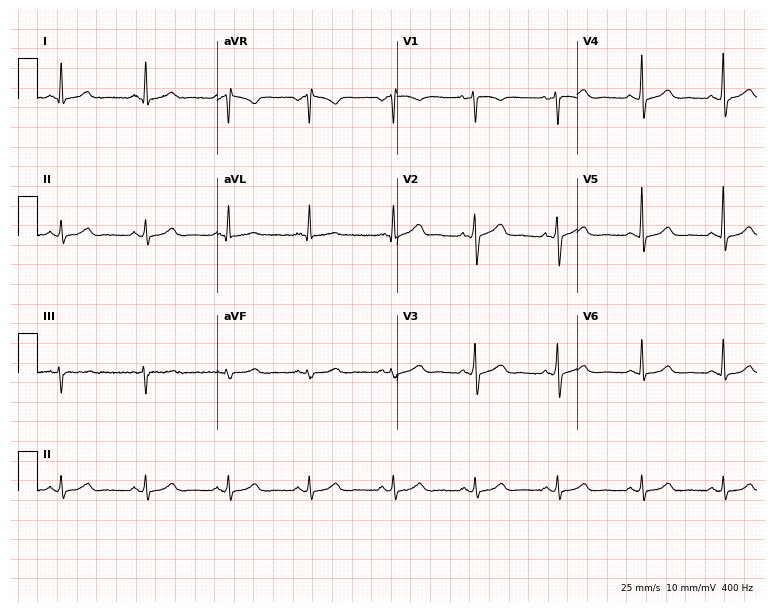
12-lead ECG from a woman, 40 years old. Labelled as a normal ECG.